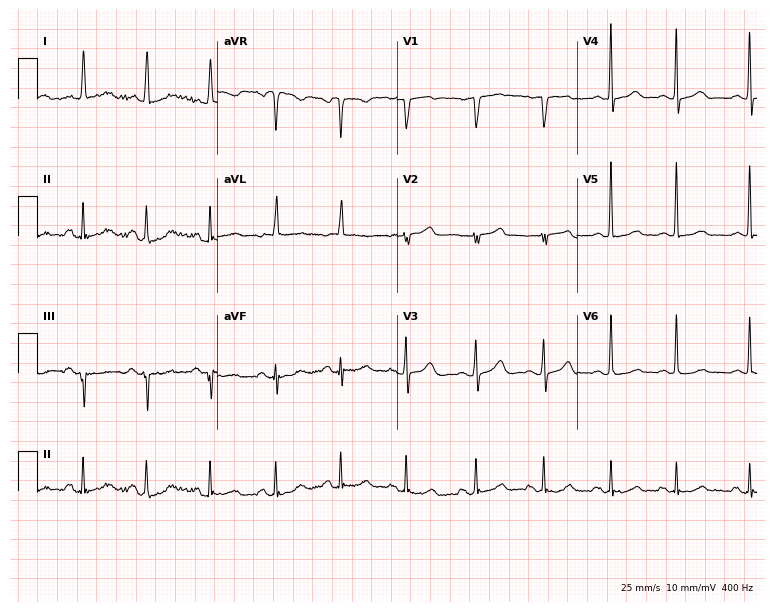
ECG (7.3-second recording at 400 Hz) — a woman, 66 years old. Labelled as a normal ECG.